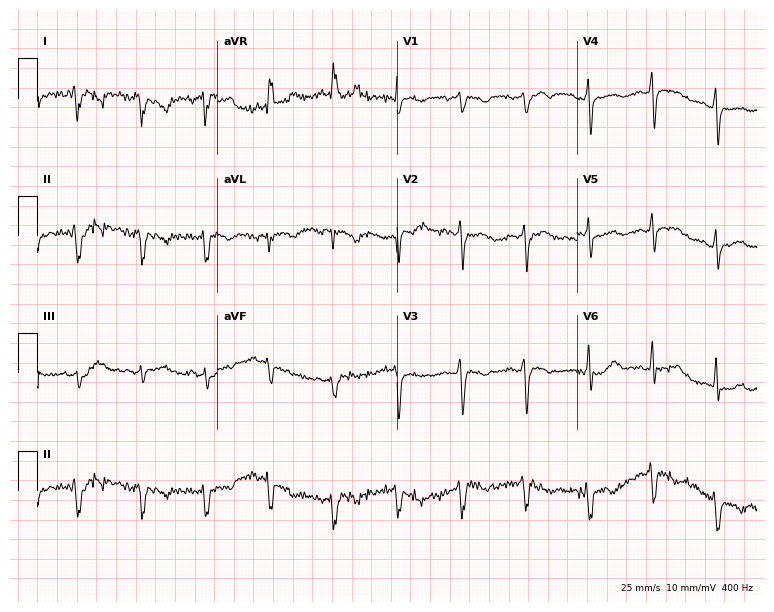
12-lead ECG from a woman, 57 years old. Screened for six findings — first-degree AV block, right bundle branch block (RBBB), left bundle branch block (LBBB), sinus bradycardia, atrial fibrillation (AF), sinus tachycardia — none is recorded. Other findings, if any, are not listed.